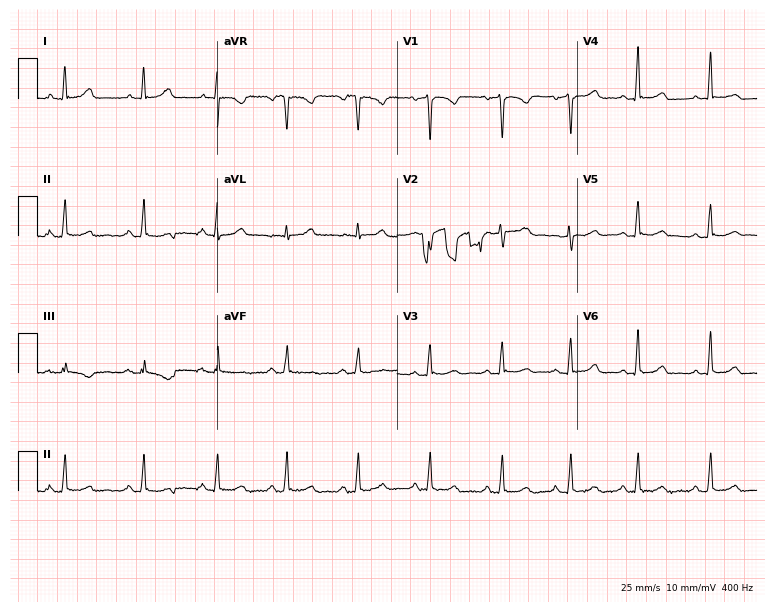
12-lead ECG from a 43-year-old woman (7.3-second recording at 400 Hz). No first-degree AV block, right bundle branch block, left bundle branch block, sinus bradycardia, atrial fibrillation or sinus tachycardia recorded for this tracing.